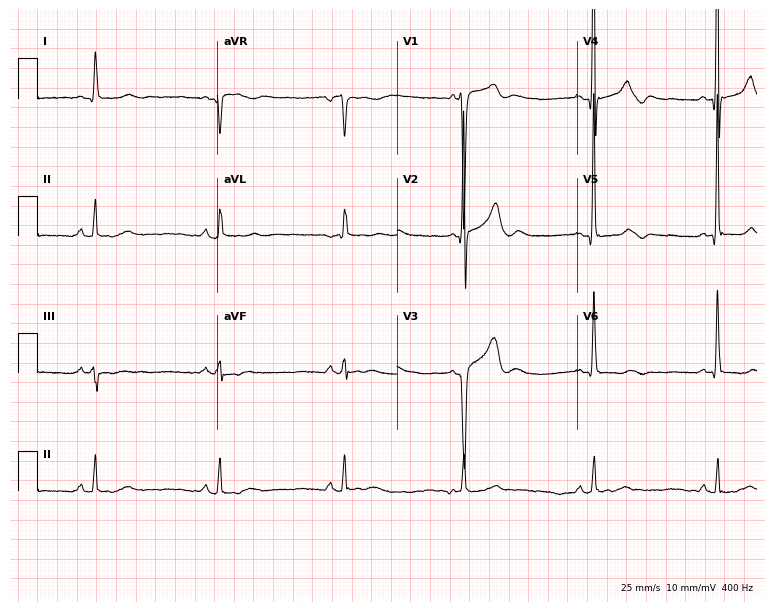
Resting 12-lead electrocardiogram. Patient: a 57-year-old male. The tracing shows sinus bradycardia (a sinus rate of 50 beats per minute or less).